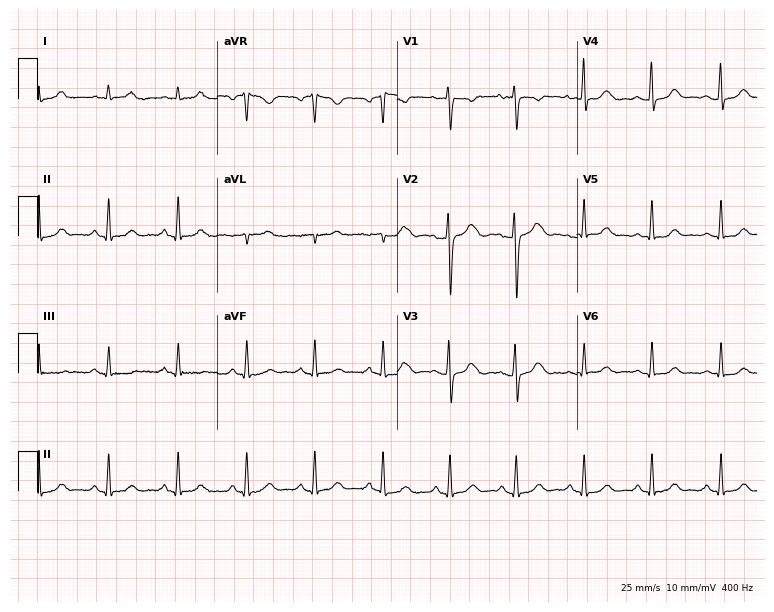
Resting 12-lead electrocardiogram (7.3-second recording at 400 Hz). Patient: a female, 22 years old. Read as a normal ECG.